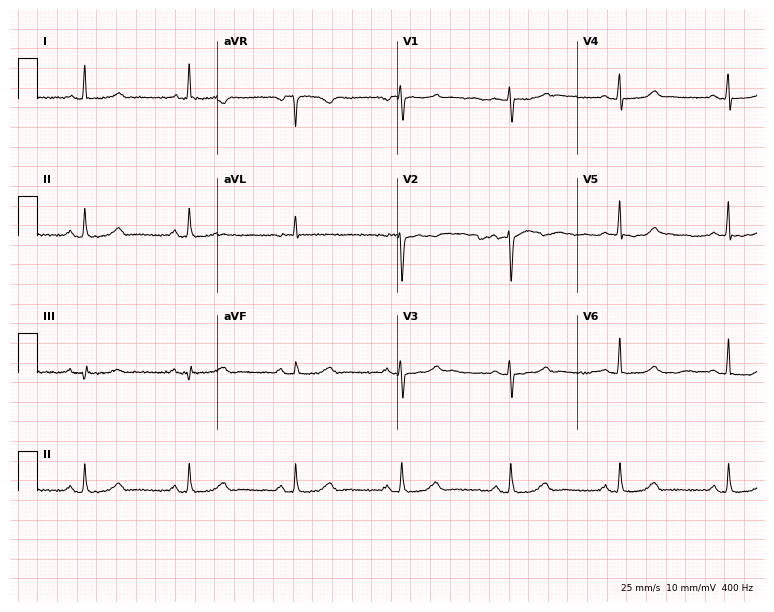
Standard 12-lead ECG recorded from a 52-year-old female. Read as a normal ECG.